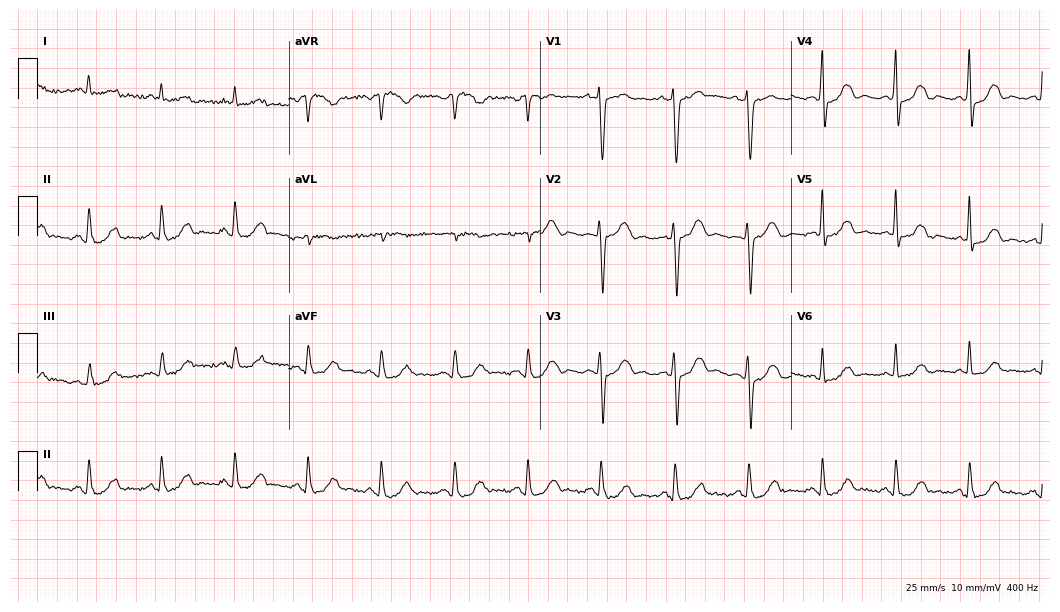
Resting 12-lead electrocardiogram. Patient: a 72-year-old female. Read as a normal ECG.